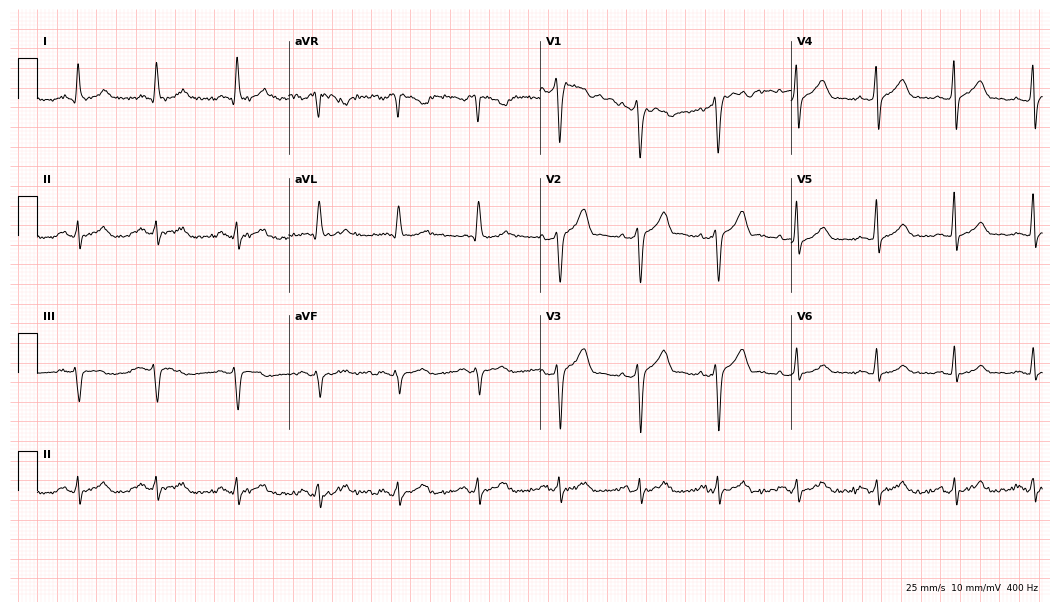
ECG (10.2-second recording at 400 Hz) — a 63-year-old male. Screened for six findings — first-degree AV block, right bundle branch block, left bundle branch block, sinus bradycardia, atrial fibrillation, sinus tachycardia — none is recorded.